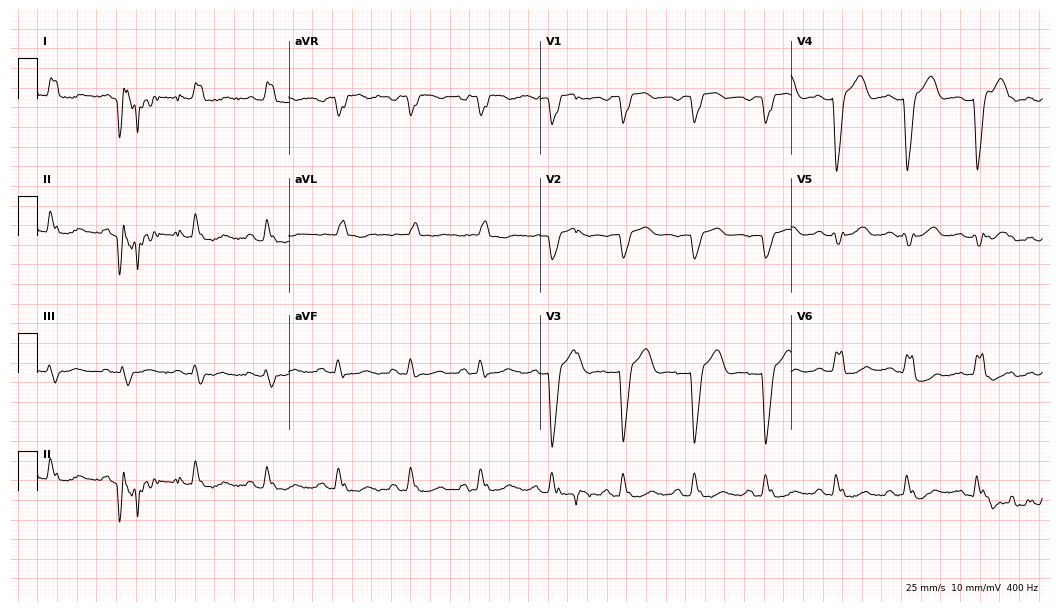
12-lead ECG from a 66-year-old female (10.2-second recording at 400 Hz). Shows left bundle branch block.